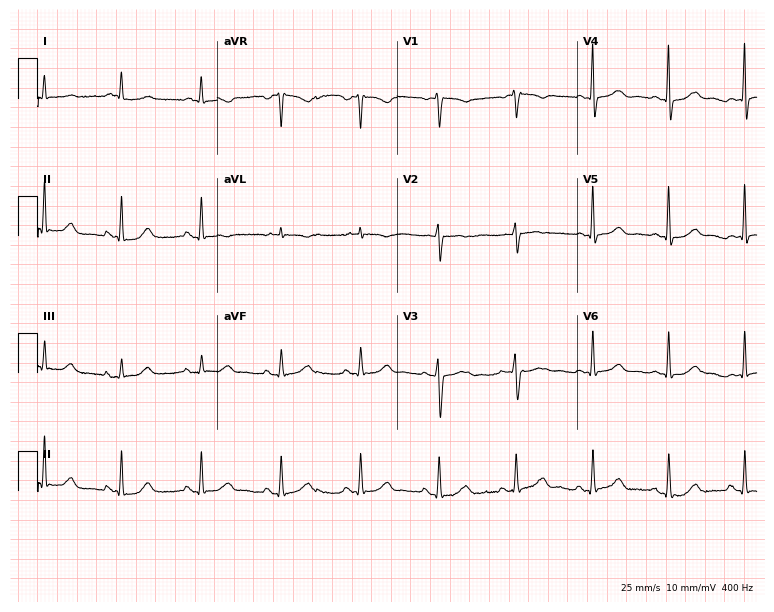
12-lead ECG (7.3-second recording at 400 Hz) from a female patient, 75 years old. Labelled as a normal ECG.